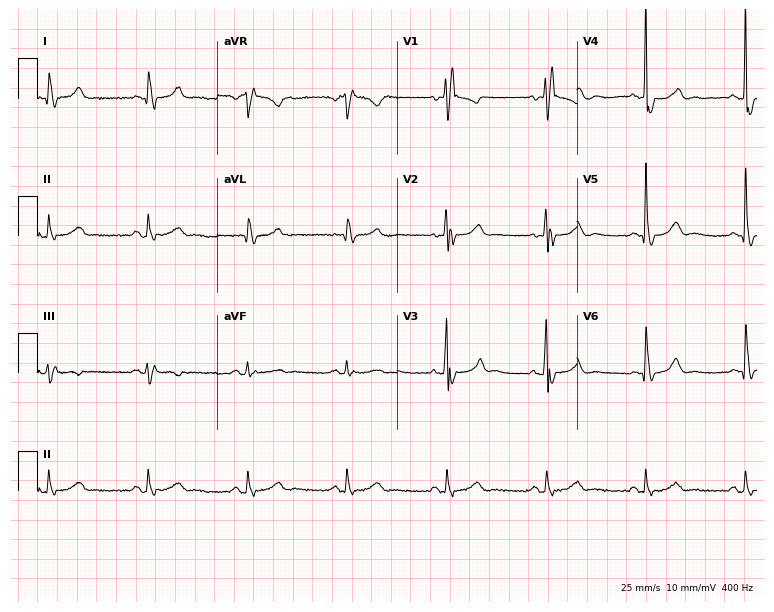
12-lead ECG (7.3-second recording at 400 Hz) from a 59-year-old male patient. Findings include right bundle branch block (RBBB).